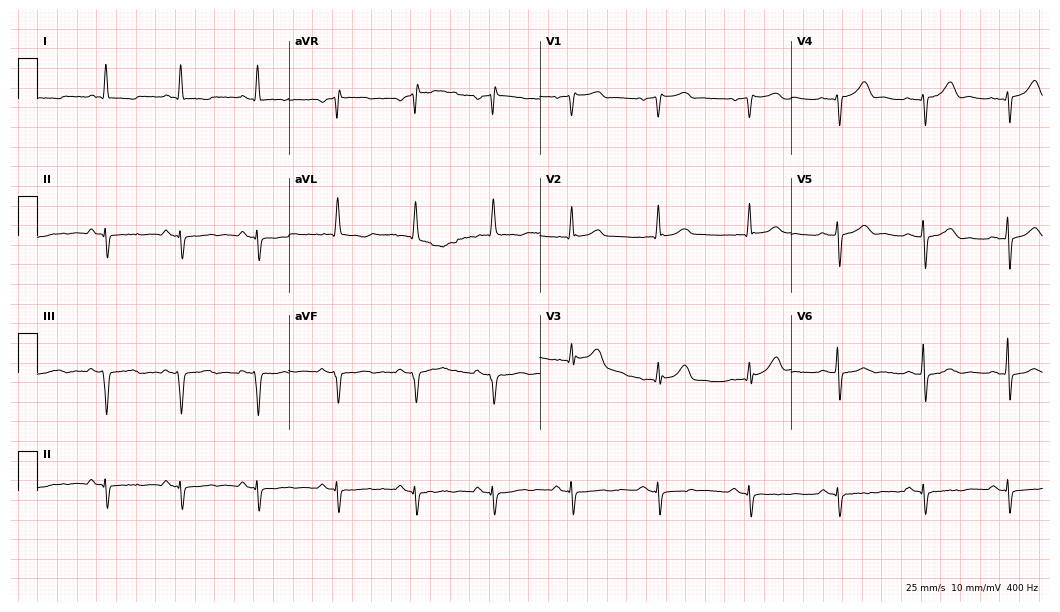
12-lead ECG from a female patient, 56 years old (10.2-second recording at 400 Hz). No first-degree AV block, right bundle branch block, left bundle branch block, sinus bradycardia, atrial fibrillation or sinus tachycardia recorded for this tracing.